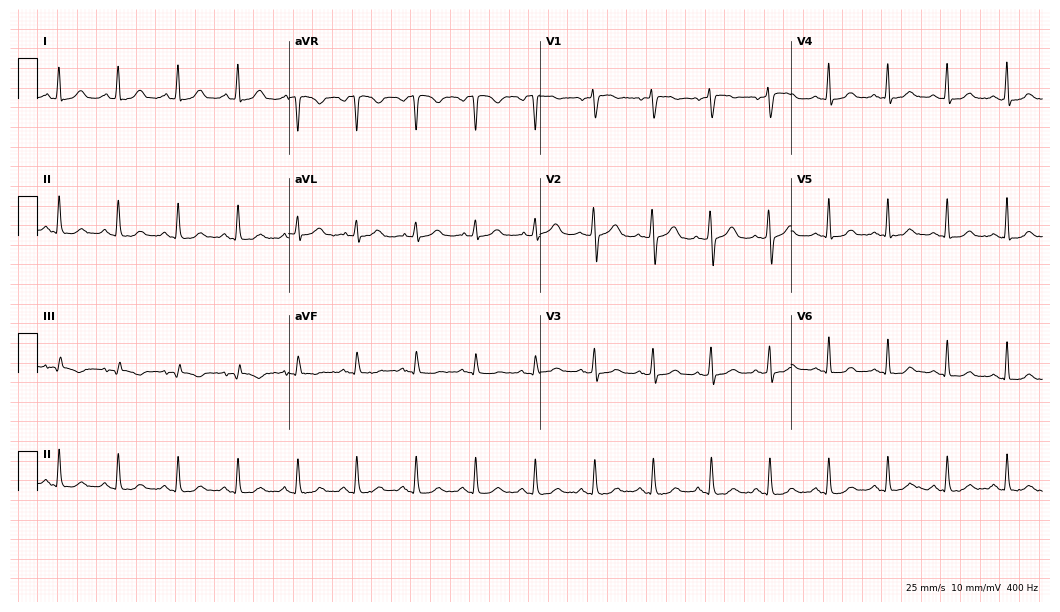
ECG — a woman, 57 years old. Labelled as a normal ECG.